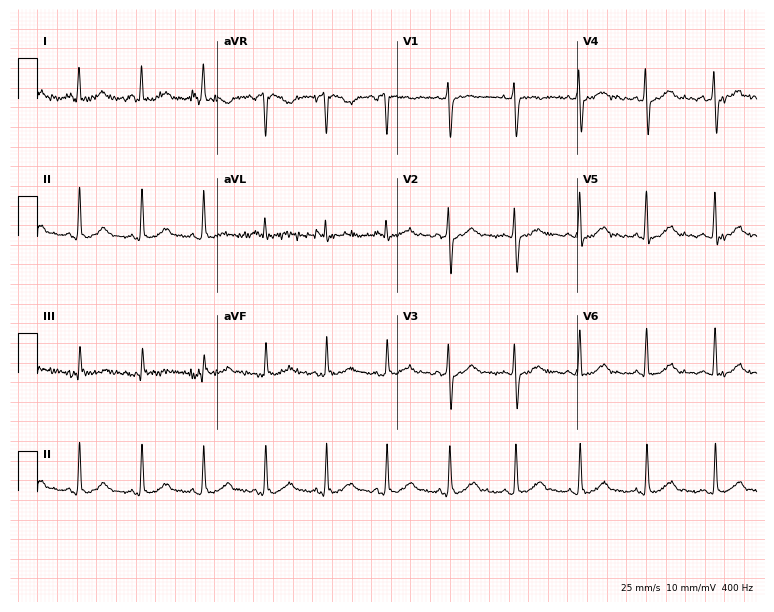
Electrocardiogram (7.3-second recording at 400 Hz), a man, 29 years old. Overall reading on record: normal ECG.